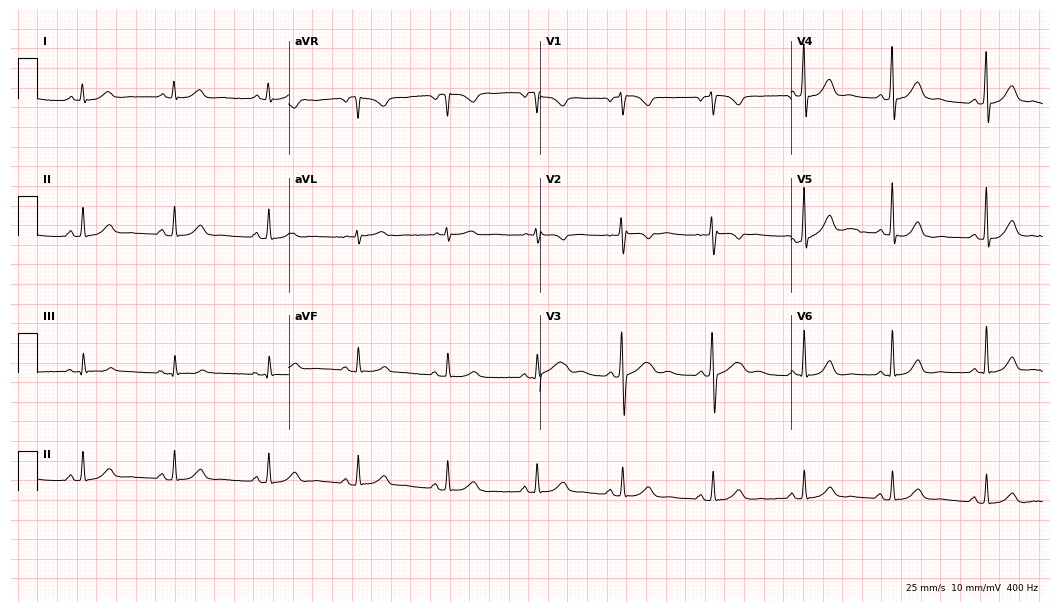
12-lead ECG from a female, 42 years old. Labelled as a normal ECG.